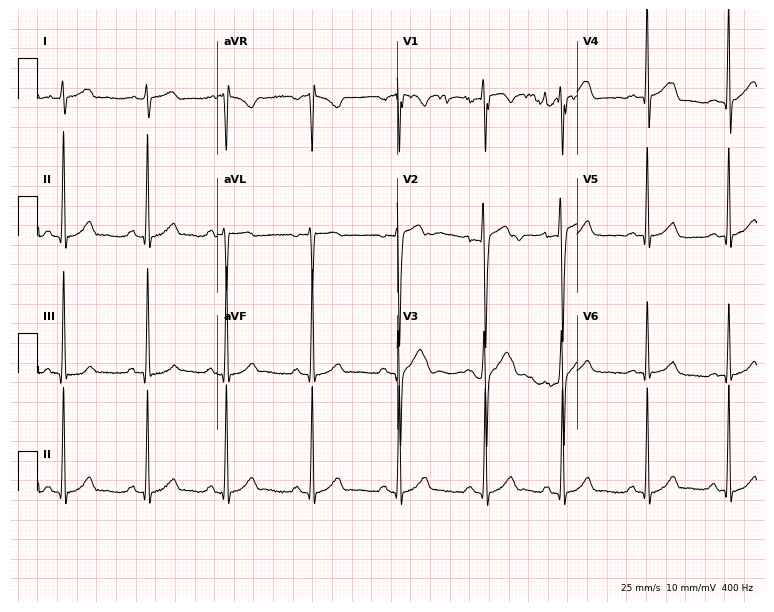
Electrocardiogram, a man, 19 years old. Of the six screened findings (first-degree AV block, right bundle branch block, left bundle branch block, sinus bradycardia, atrial fibrillation, sinus tachycardia), none is recorded. Only these six findings were labelled.